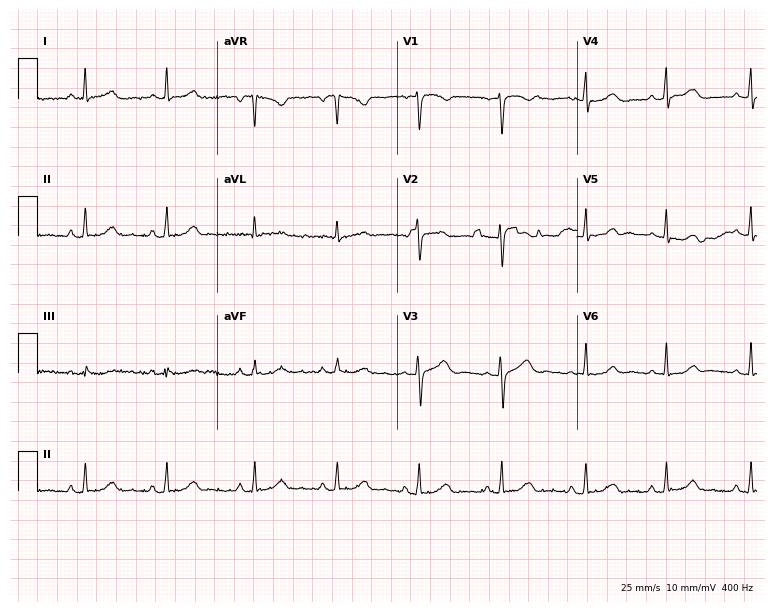
Standard 12-lead ECG recorded from a 39-year-old female. Read as a normal ECG.